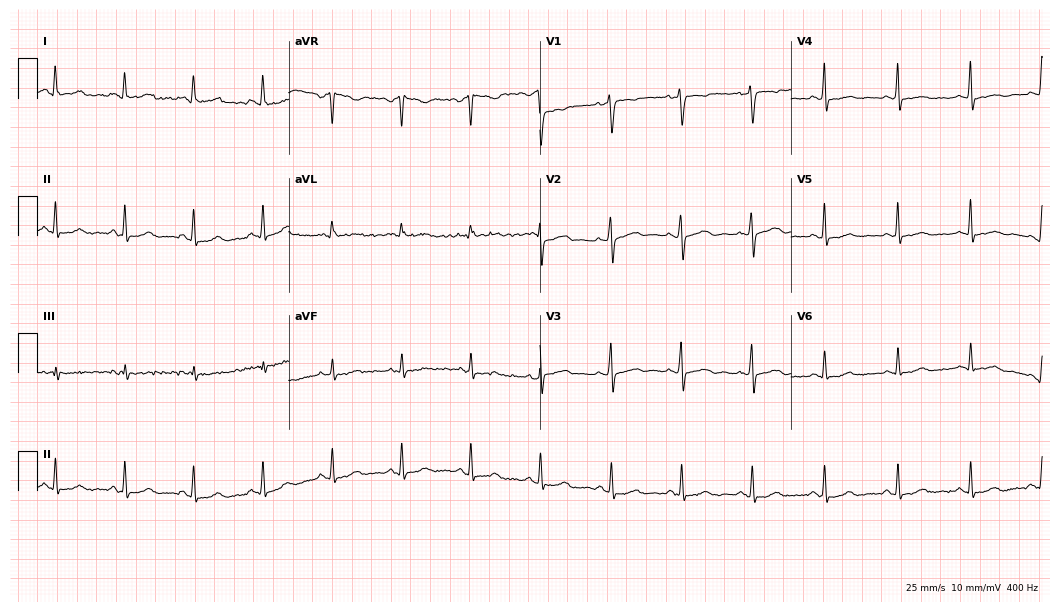
Standard 12-lead ECG recorded from a 48-year-old woman. None of these six findings is recorded: first-degree AV block, right bundle branch block (RBBB), left bundle branch block (LBBB), sinus bradycardia, atrial fibrillation (AF), sinus tachycardia. Other findings, if any, are not listed.